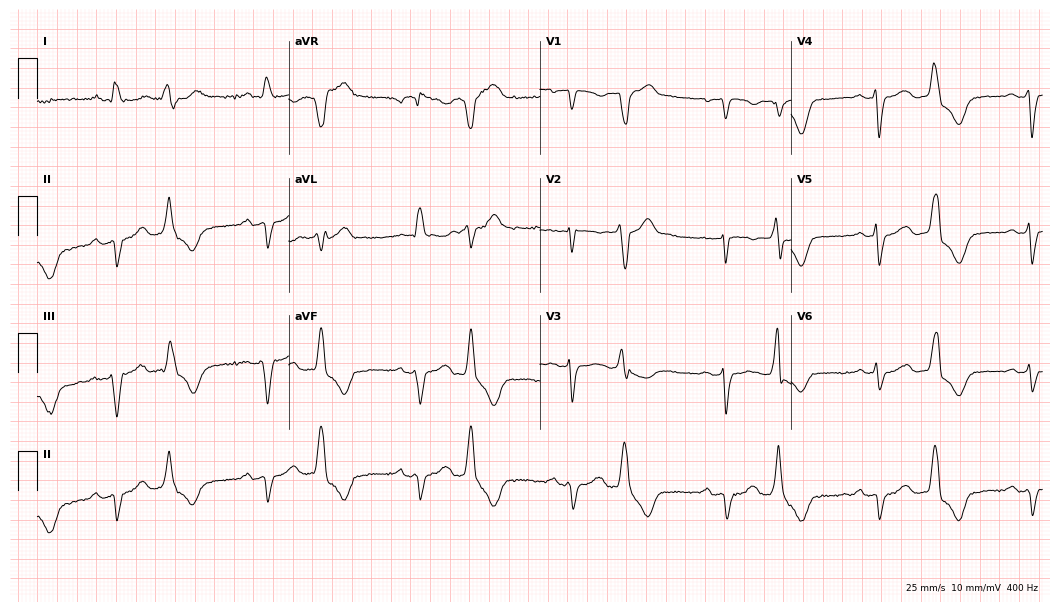
Resting 12-lead electrocardiogram (10.2-second recording at 400 Hz). Patient: a 72-year-old female. The tracing shows left bundle branch block.